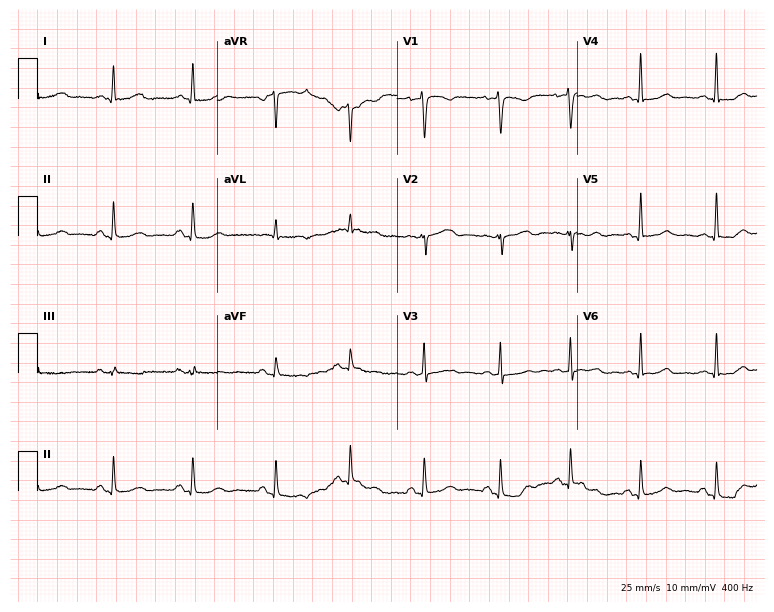
Electrocardiogram (7.3-second recording at 400 Hz), a 35-year-old female patient. Of the six screened findings (first-degree AV block, right bundle branch block, left bundle branch block, sinus bradycardia, atrial fibrillation, sinus tachycardia), none is recorded.